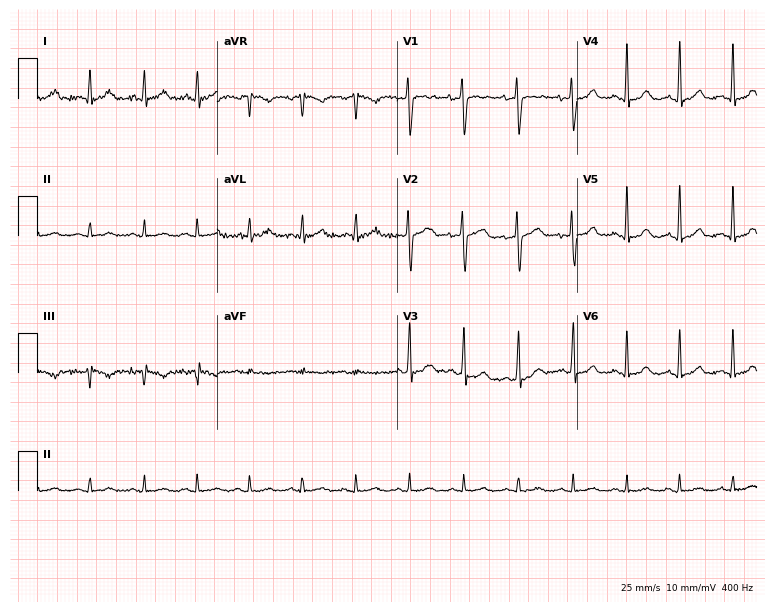
12-lead ECG (7.3-second recording at 400 Hz) from a female, 23 years old. Findings include sinus tachycardia (a sinus rate of 100 beats per minute or more).